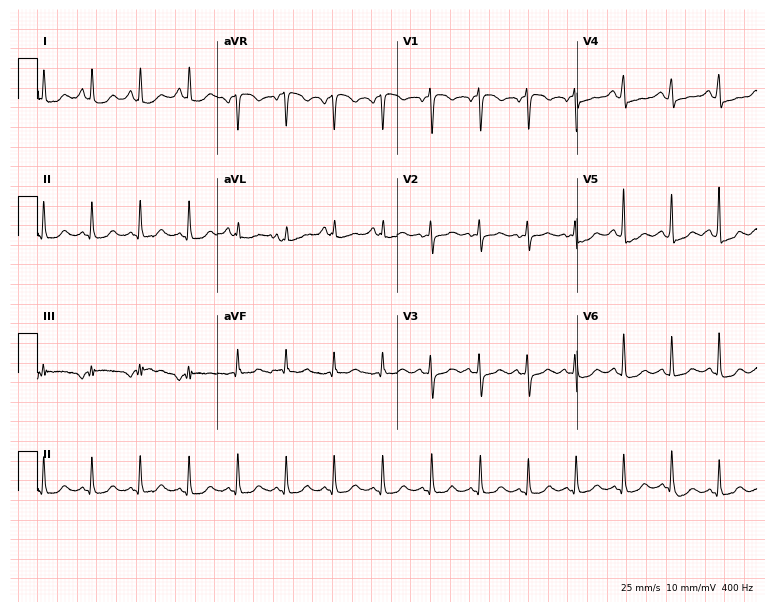
12-lead ECG from a female, 69 years old (7.3-second recording at 400 Hz). Shows sinus tachycardia (a sinus rate of 100 beats per minute or more).